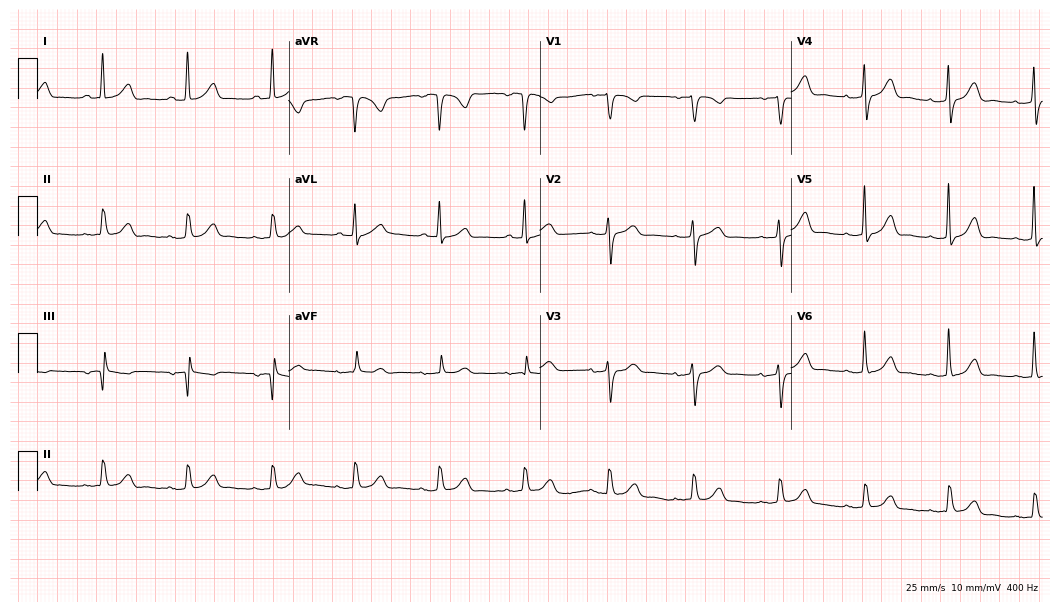
12-lead ECG from a 76-year-old female patient. Recorded interpretation: within normal limits.